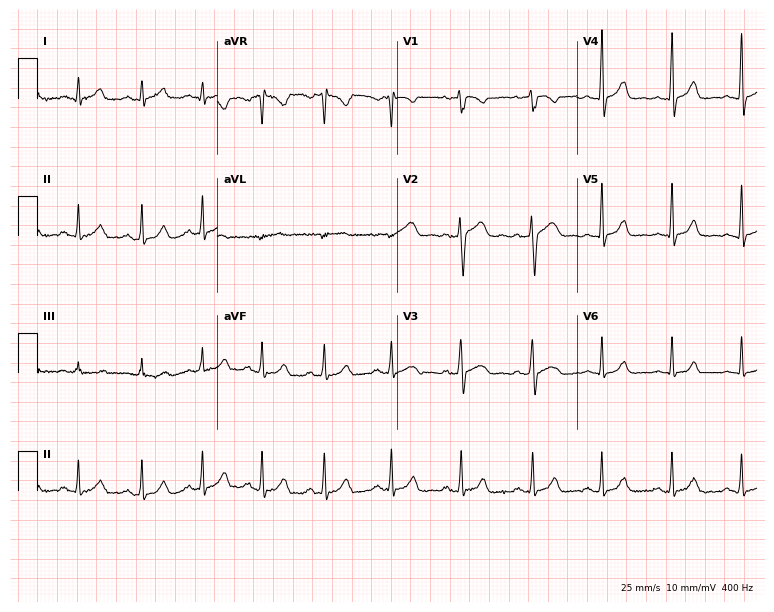
12-lead ECG from a 19-year-old female. Labelled as a normal ECG.